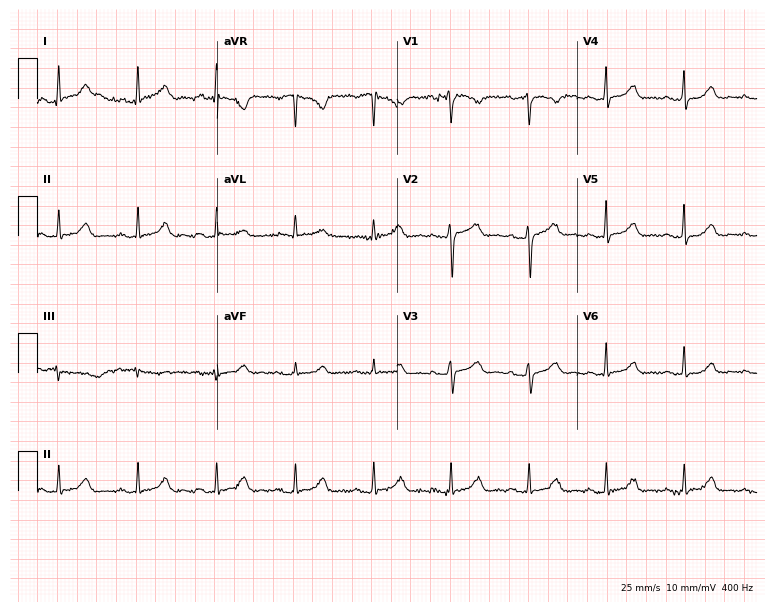
Electrocardiogram (7.3-second recording at 400 Hz), a woman, 71 years old. Overall reading on record: normal ECG.